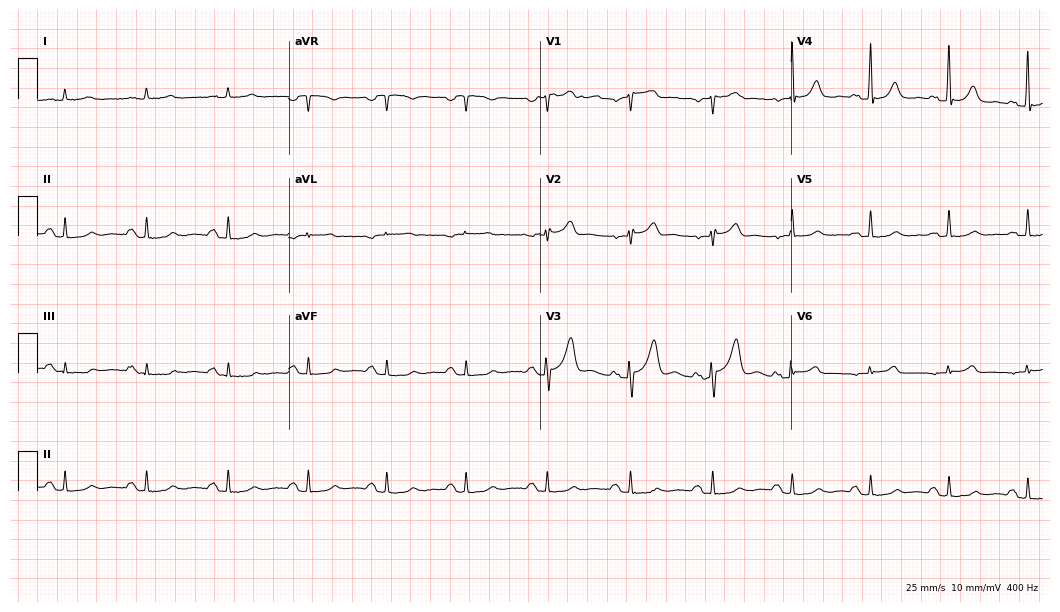
Resting 12-lead electrocardiogram. Patient: a man, 67 years old. None of these six findings is recorded: first-degree AV block, right bundle branch block, left bundle branch block, sinus bradycardia, atrial fibrillation, sinus tachycardia.